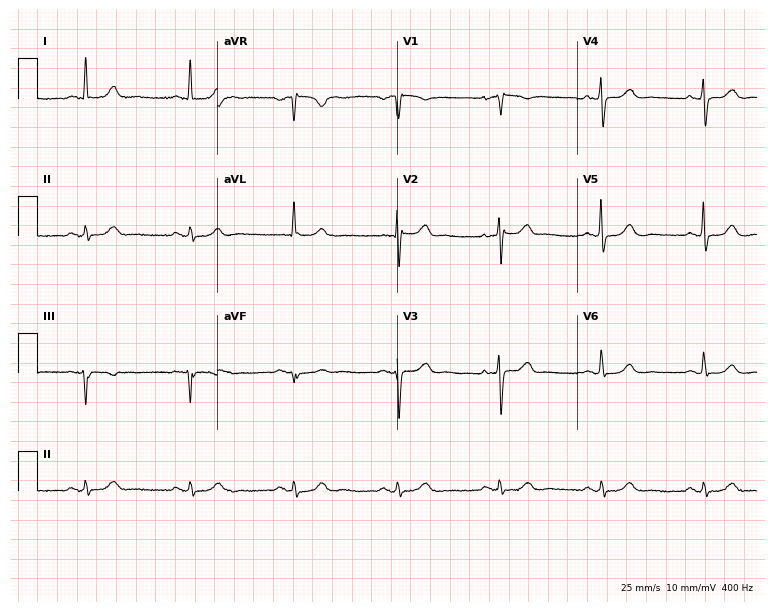
Electrocardiogram, a male, 81 years old. Of the six screened findings (first-degree AV block, right bundle branch block (RBBB), left bundle branch block (LBBB), sinus bradycardia, atrial fibrillation (AF), sinus tachycardia), none is recorded.